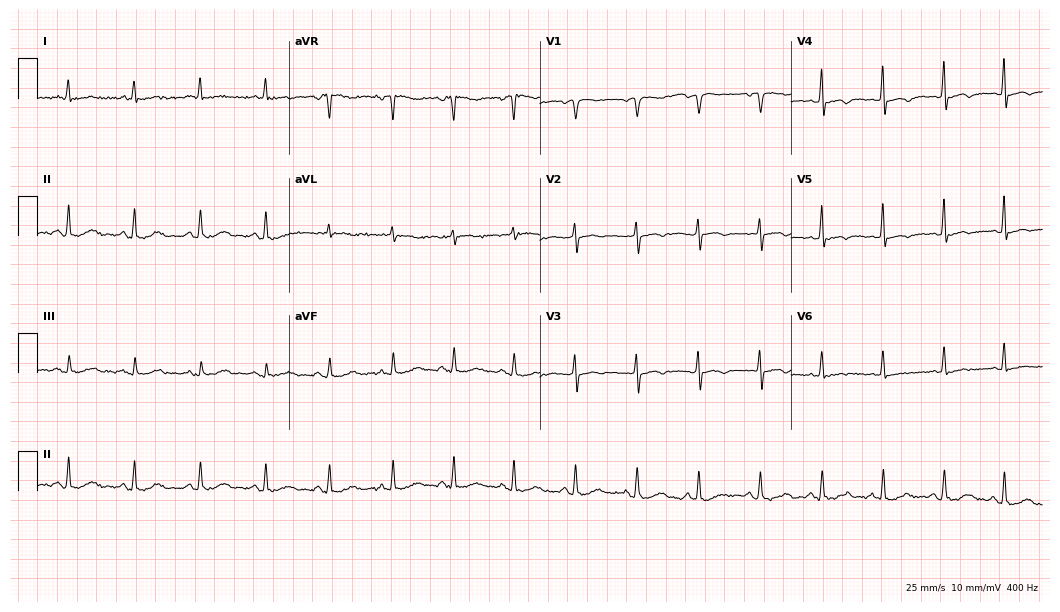
12-lead ECG from a 51-year-old female patient. No first-degree AV block, right bundle branch block, left bundle branch block, sinus bradycardia, atrial fibrillation or sinus tachycardia recorded for this tracing. Other findings, if any, are not listed.